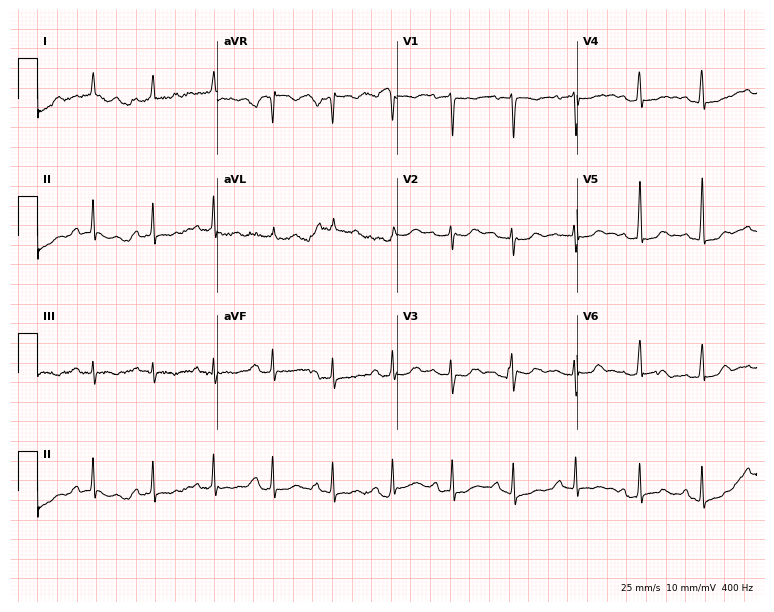
Resting 12-lead electrocardiogram (7.3-second recording at 400 Hz). Patient: a 17-year-old female. None of these six findings is recorded: first-degree AV block, right bundle branch block (RBBB), left bundle branch block (LBBB), sinus bradycardia, atrial fibrillation (AF), sinus tachycardia.